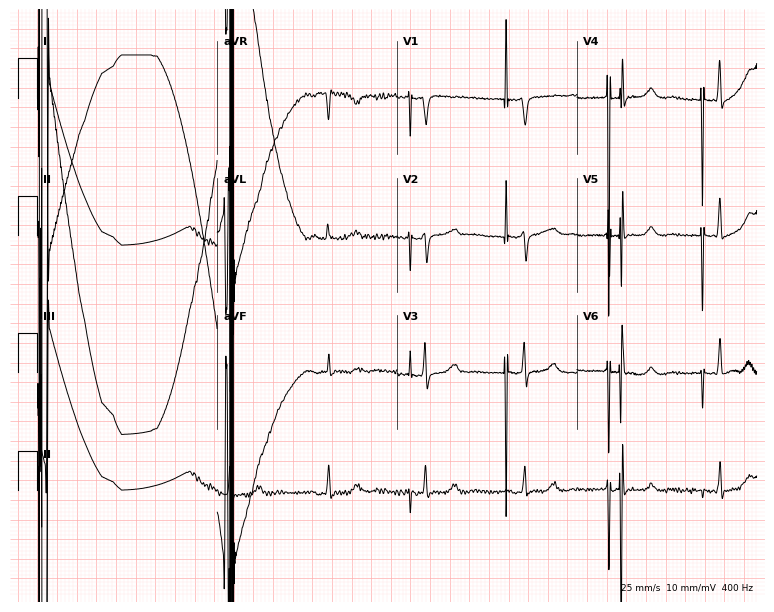
Electrocardiogram, a 45-year-old female. Overall reading on record: normal ECG.